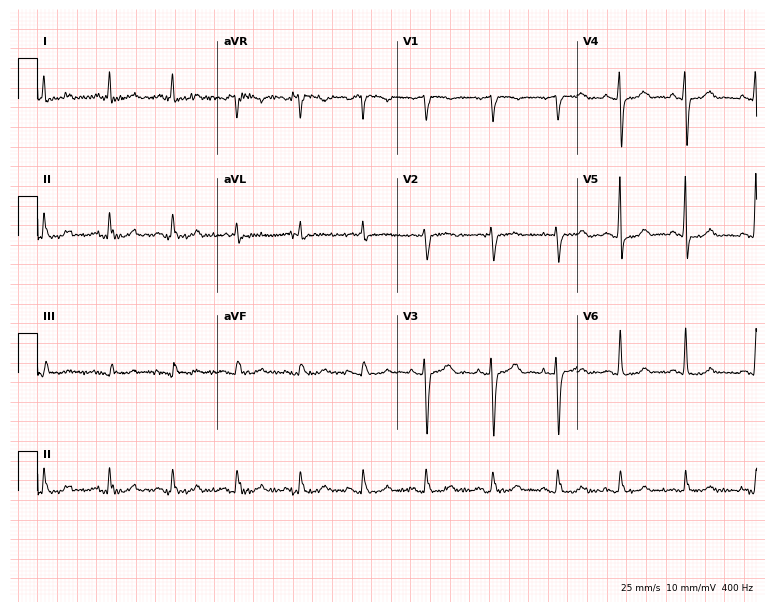
Electrocardiogram, a female patient, 76 years old. Of the six screened findings (first-degree AV block, right bundle branch block, left bundle branch block, sinus bradycardia, atrial fibrillation, sinus tachycardia), none is recorded.